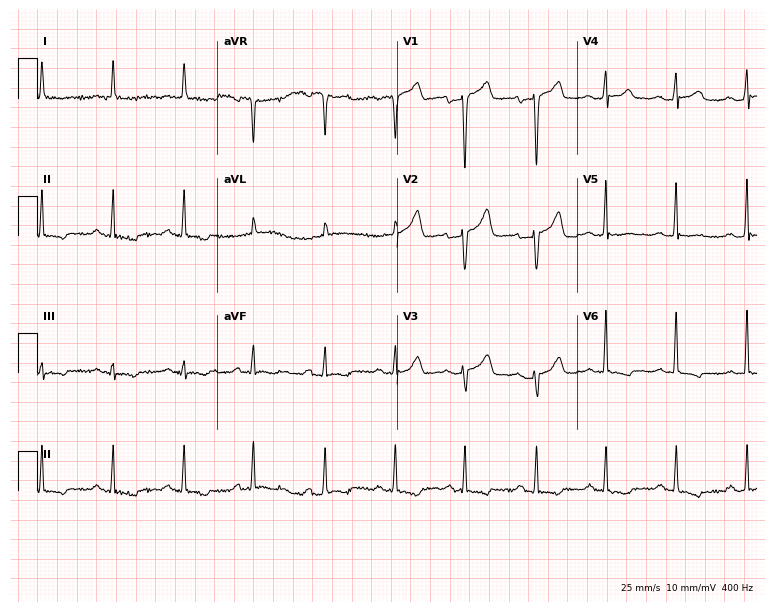
ECG (7.3-second recording at 400 Hz) — a 59-year-old female. Screened for six findings — first-degree AV block, right bundle branch block, left bundle branch block, sinus bradycardia, atrial fibrillation, sinus tachycardia — none is recorded. Other findings, if any, are not listed.